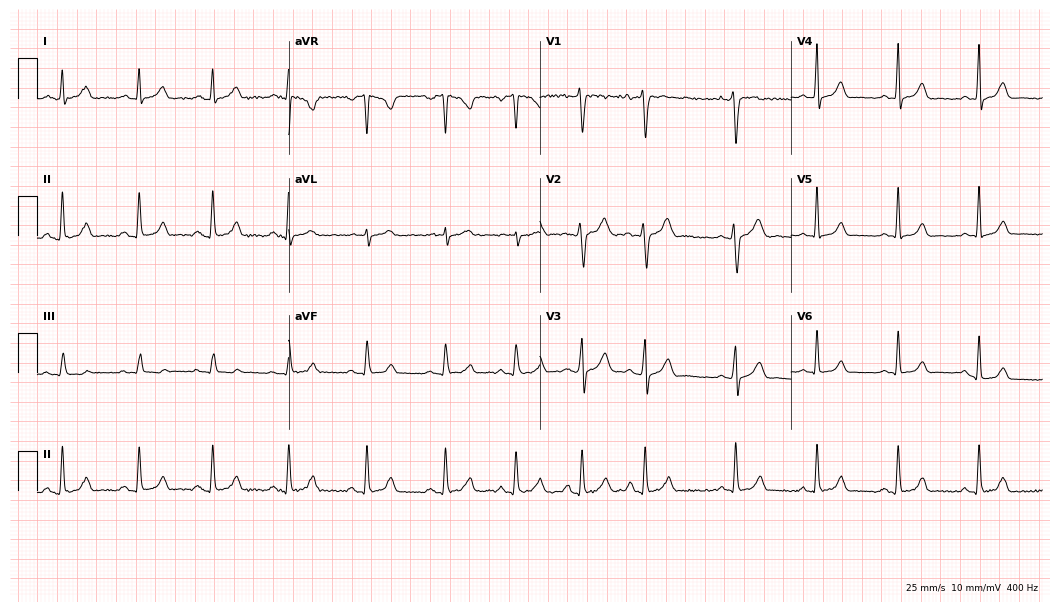
12-lead ECG from a 36-year-old female (10.2-second recording at 400 Hz). No first-degree AV block, right bundle branch block, left bundle branch block, sinus bradycardia, atrial fibrillation or sinus tachycardia recorded for this tracing. Only these six findings were labelled.